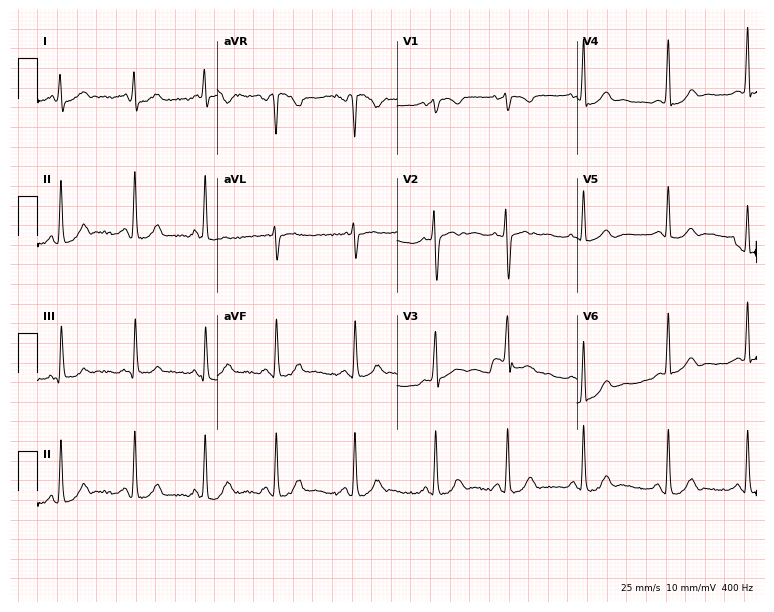
Standard 12-lead ECG recorded from a woman, 22 years old. None of these six findings is recorded: first-degree AV block, right bundle branch block, left bundle branch block, sinus bradycardia, atrial fibrillation, sinus tachycardia. Findings outside these six are not listed.